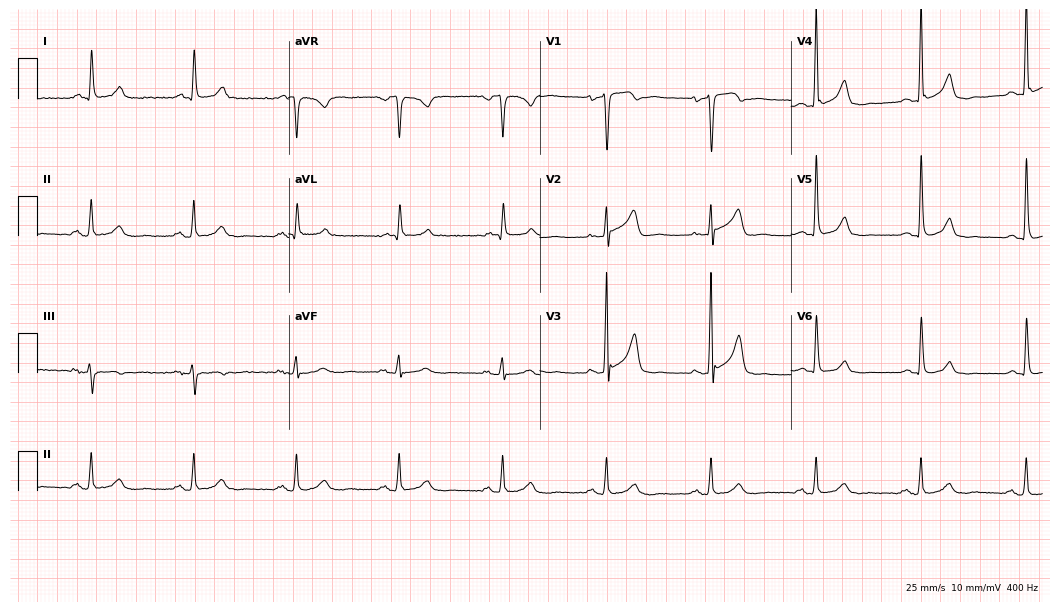
Standard 12-lead ECG recorded from a 55-year-old male patient (10.2-second recording at 400 Hz). Read as a normal ECG.